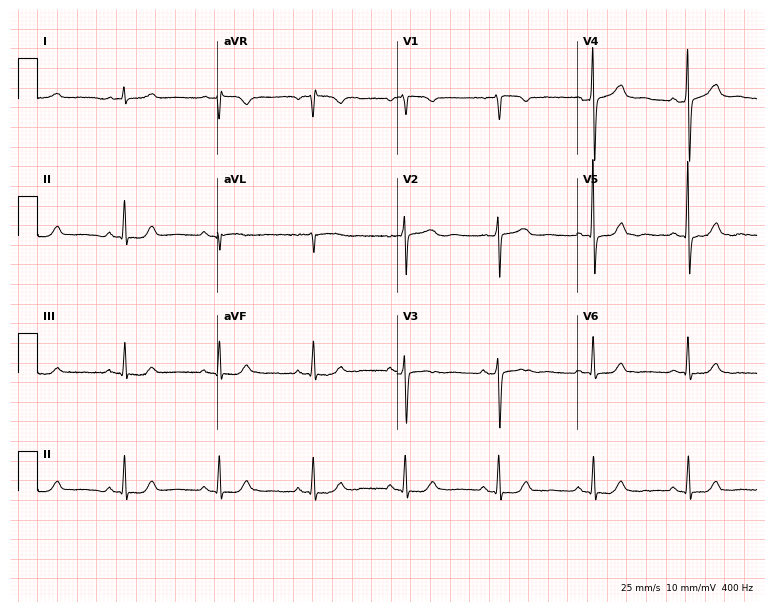
ECG (7.3-second recording at 400 Hz) — a 58-year-old female patient. Screened for six findings — first-degree AV block, right bundle branch block, left bundle branch block, sinus bradycardia, atrial fibrillation, sinus tachycardia — none is recorded. Findings outside these six are not listed.